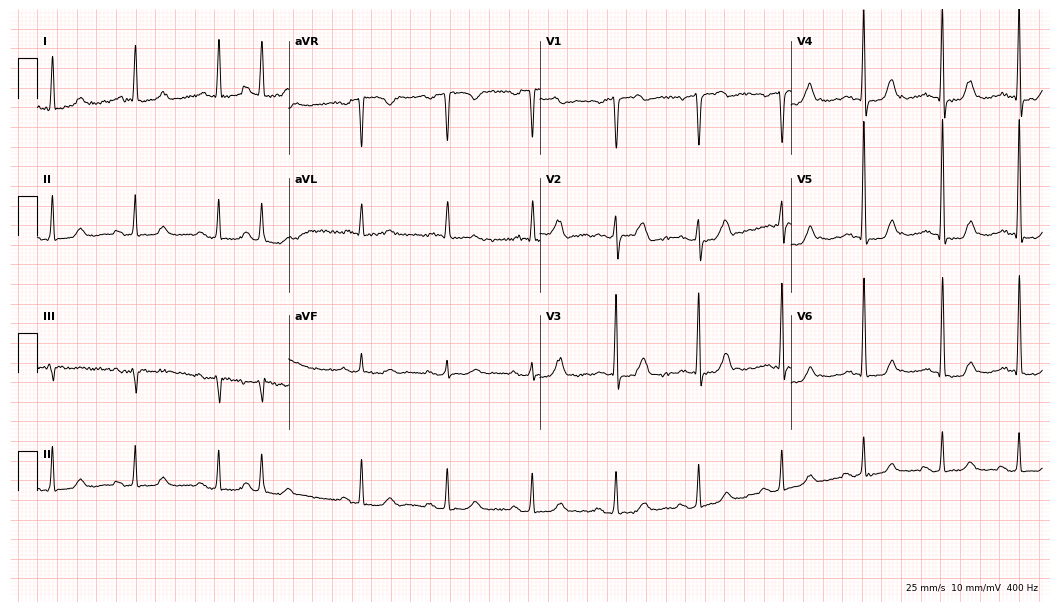
Standard 12-lead ECG recorded from a 78-year-old female patient (10.2-second recording at 400 Hz). None of these six findings is recorded: first-degree AV block, right bundle branch block, left bundle branch block, sinus bradycardia, atrial fibrillation, sinus tachycardia. Other findings, if any, are not listed.